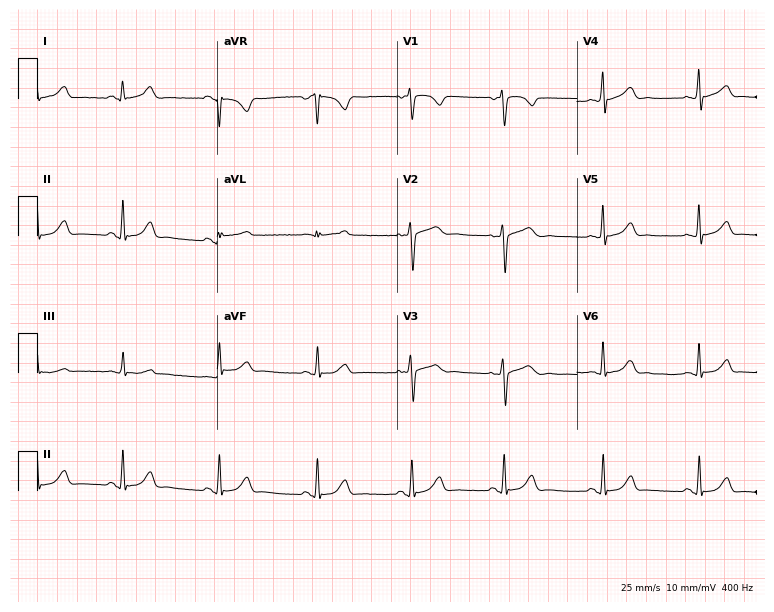
12-lead ECG from a female patient, 28 years old. Screened for six findings — first-degree AV block, right bundle branch block, left bundle branch block, sinus bradycardia, atrial fibrillation, sinus tachycardia — none is recorded.